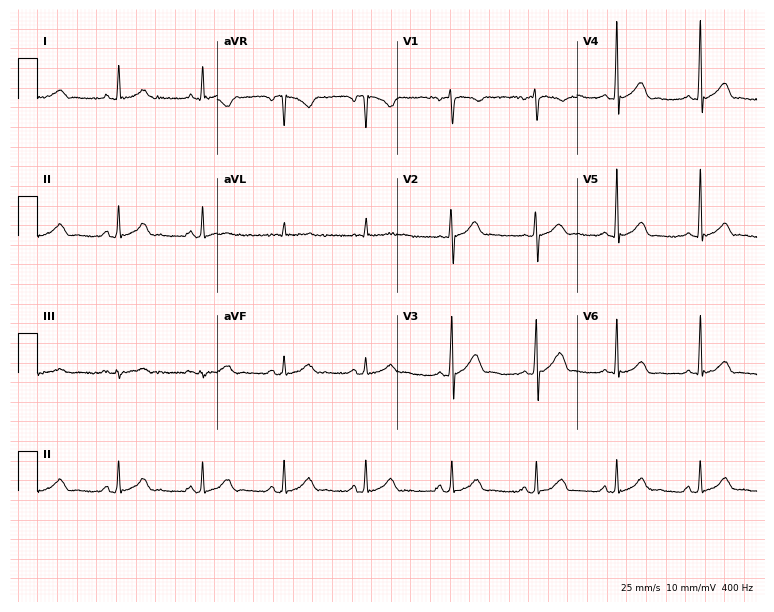
Resting 12-lead electrocardiogram (7.3-second recording at 400 Hz). Patient: a 40-year-old man. Read as a normal ECG.